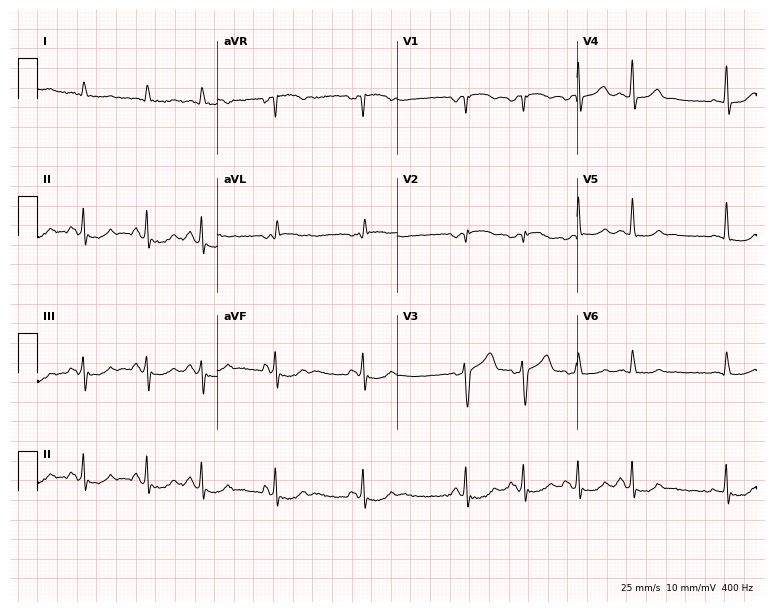
12-lead ECG from a man, 72 years old. No first-degree AV block, right bundle branch block, left bundle branch block, sinus bradycardia, atrial fibrillation or sinus tachycardia recorded for this tracing.